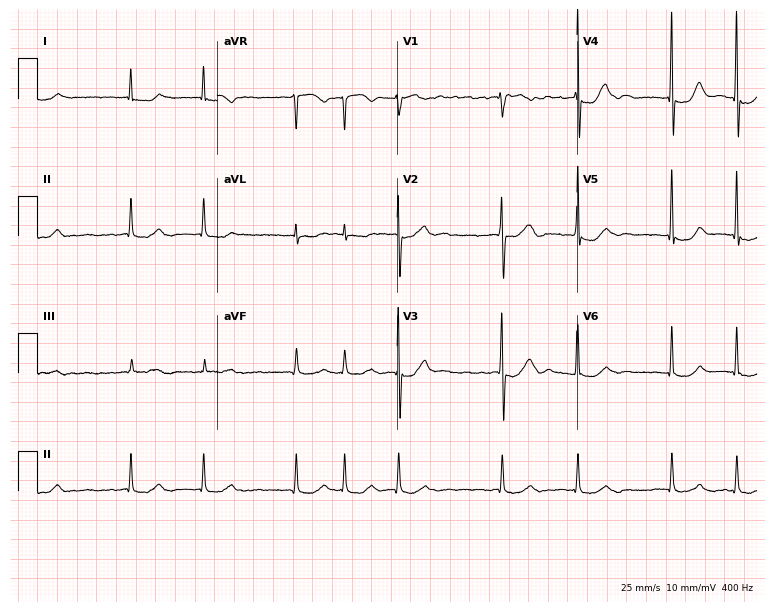
ECG — an 85-year-old male patient. Findings include atrial fibrillation (AF).